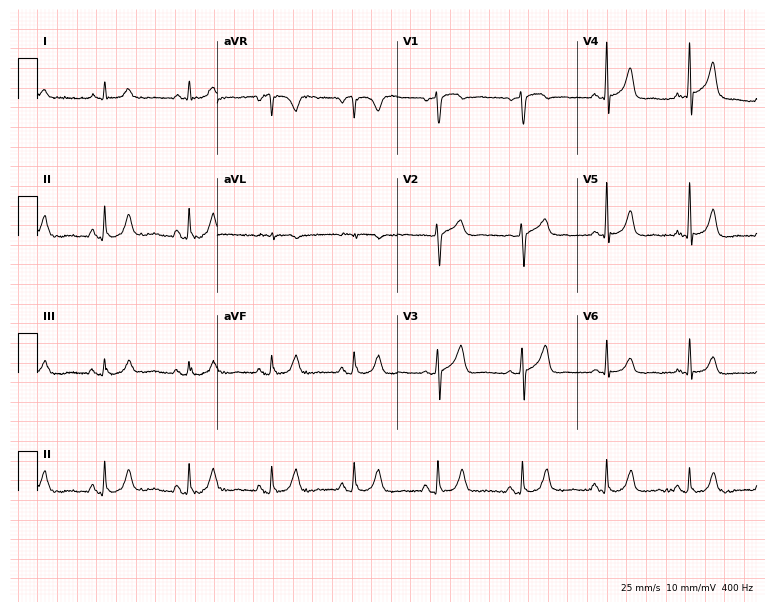
Electrocardiogram, a man, 84 years old. Overall reading on record: normal ECG.